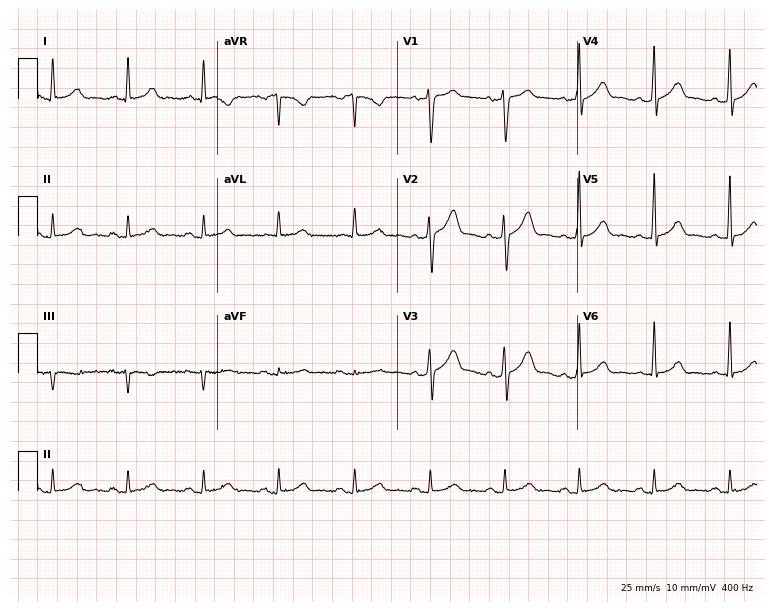
Resting 12-lead electrocardiogram. Patient: a male, 61 years old. Read as a normal ECG.